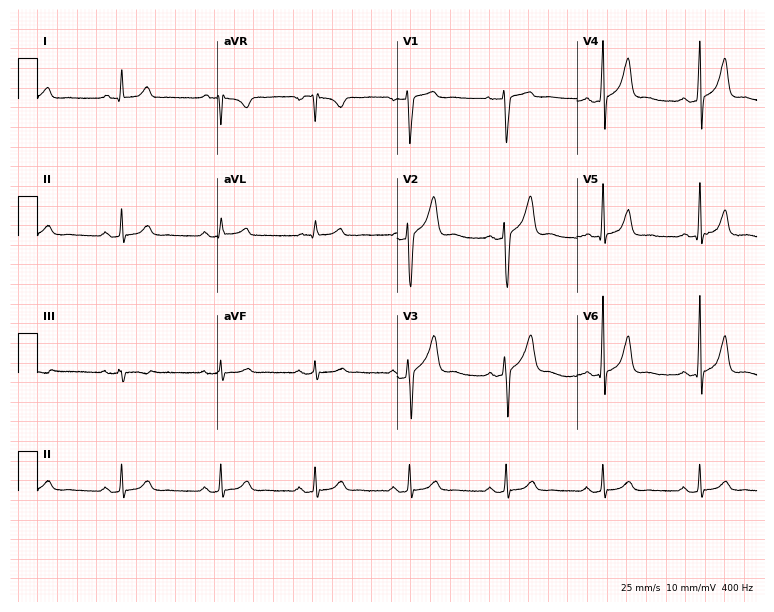
ECG (7.3-second recording at 400 Hz) — a man, 34 years old. Labelled as a normal ECG.